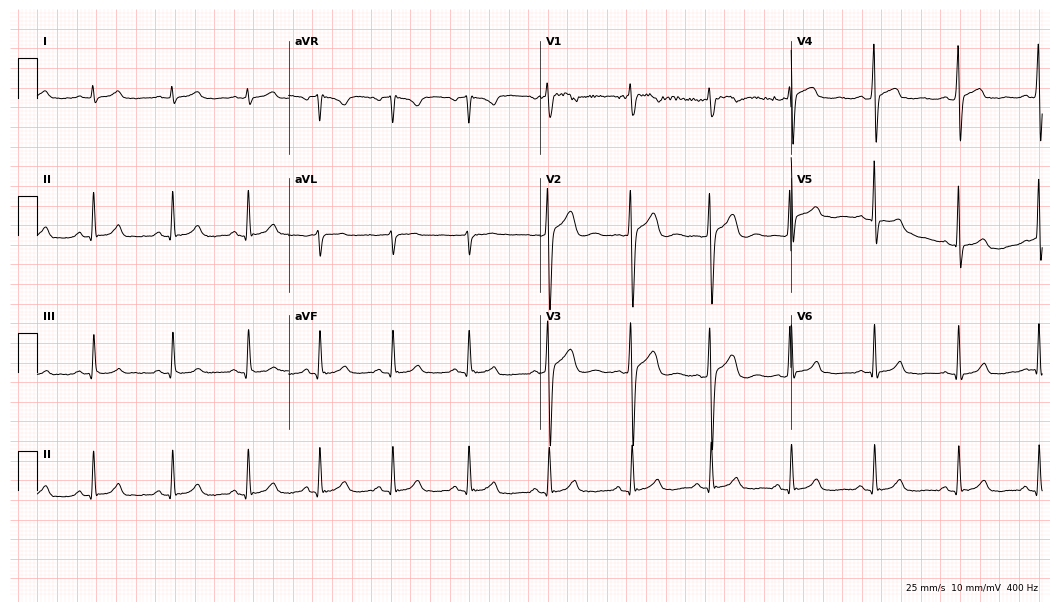
12-lead ECG from a male patient, 32 years old (10.2-second recording at 400 Hz). Recorded interpretation: within normal limits.